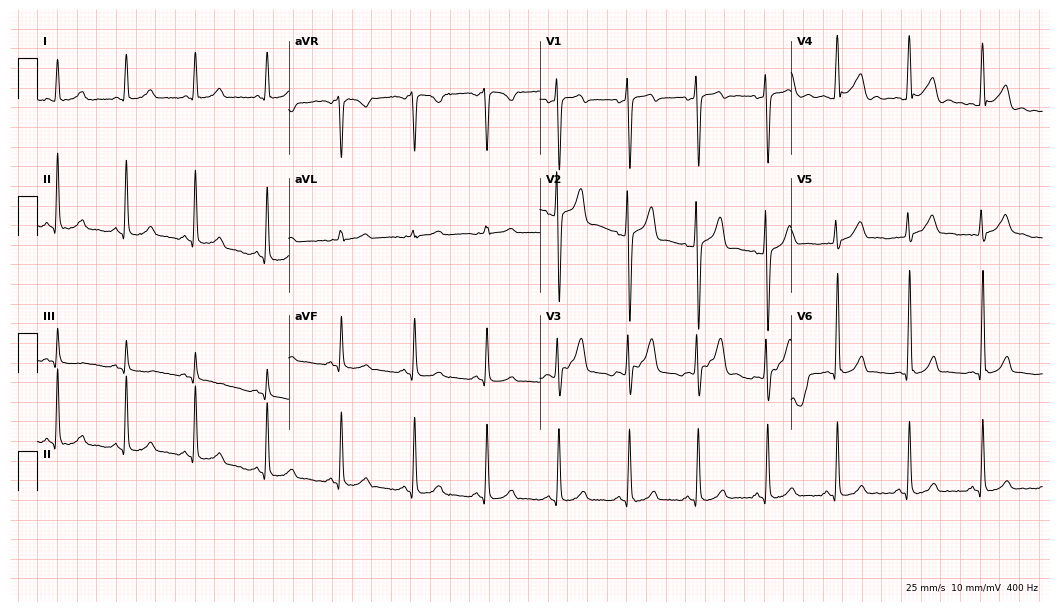
ECG (10.2-second recording at 400 Hz) — a man, 18 years old. Labelled as a normal ECG.